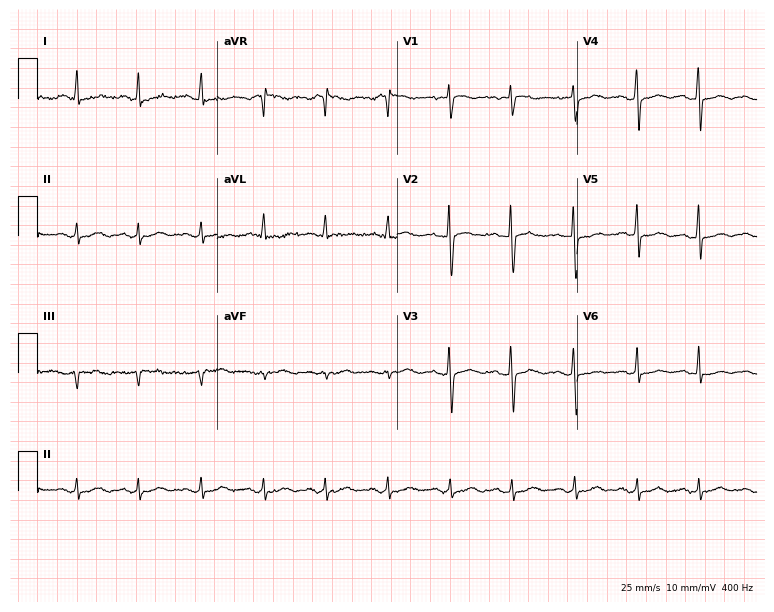
Electrocardiogram, a 54-year-old female patient. Of the six screened findings (first-degree AV block, right bundle branch block (RBBB), left bundle branch block (LBBB), sinus bradycardia, atrial fibrillation (AF), sinus tachycardia), none is recorded.